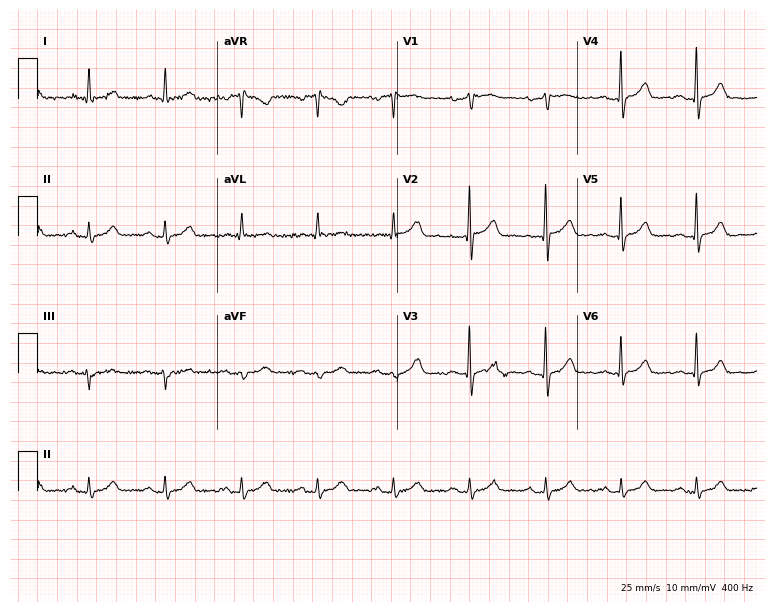
12-lead ECG from a 75-year-old man. Labelled as a normal ECG.